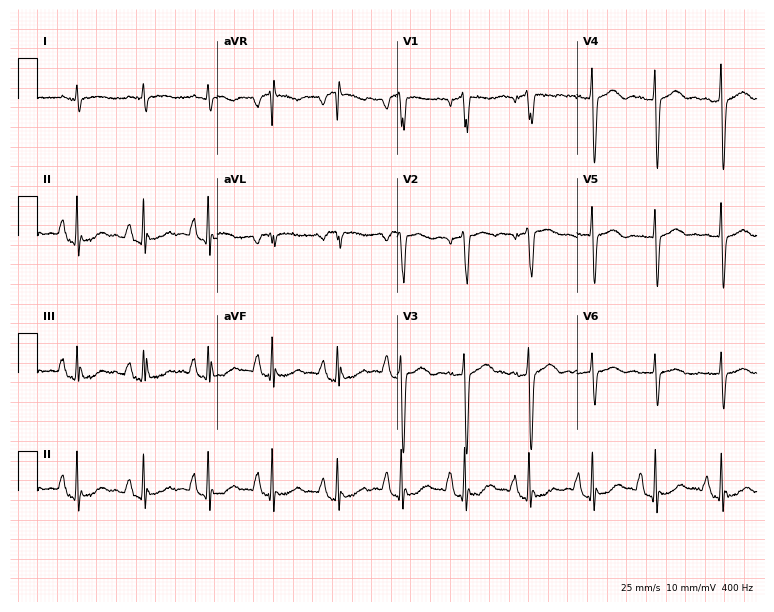
ECG (7.3-second recording at 400 Hz) — a 70-year-old male. Screened for six findings — first-degree AV block, right bundle branch block (RBBB), left bundle branch block (LBBB), sinus bradycardia, atrial fibrillation (AF), sinus tachycardia — none is recorded.